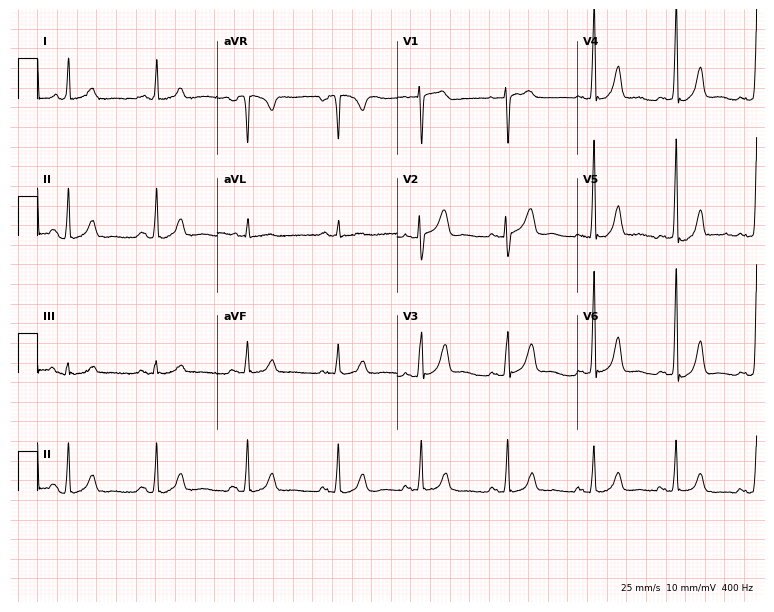
Resting 12-lead electrocardiogram. Patient: a 27-year-old female. None of these six findings is recorded: first-degree AV block, right bundle branch block, left bundle branch block, sinus bradycardia, atrial fibrillation, sinus tachycardia.